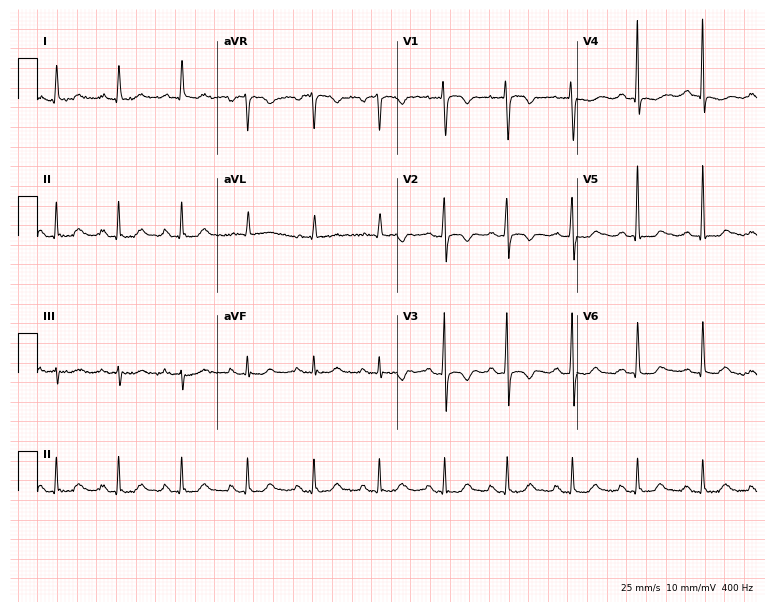
Resting 12-lead electrocardiogram (7.3-second recording at 400 Hz). Patient: a 63-year-old woman. None of these six findings is recorded: first-degree AV block, right bundle branch block, left bundle branch block, sinus bradycardia, atrial fibrillation, sinus tachycardia. Findings outside these six are not listed.